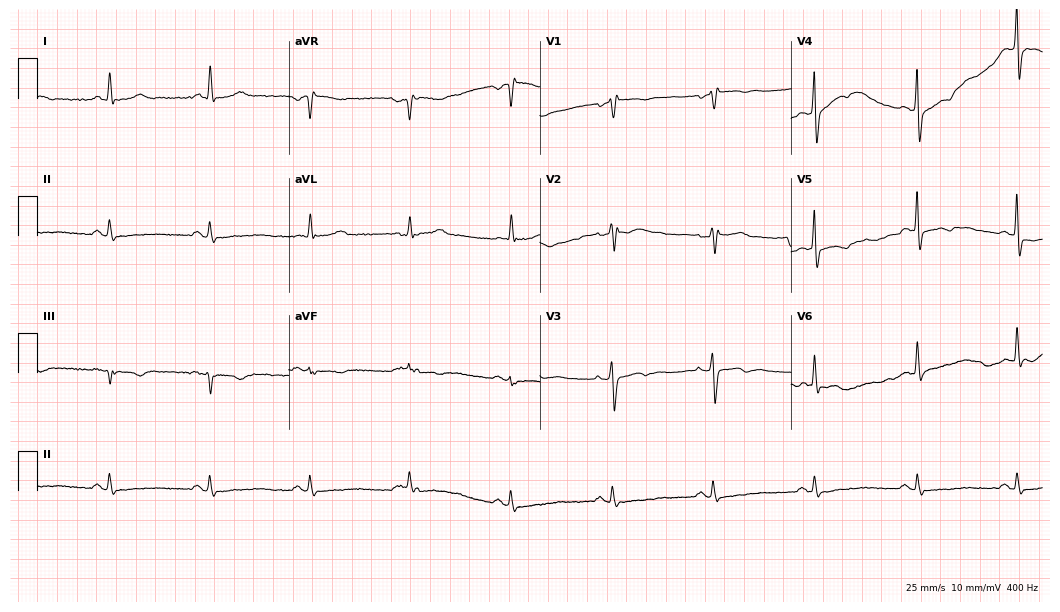
12-lead ECG from a 49-year-old man. No first-degree AV block, right bundle branch block, left bundle branch block, sinus bradycardia, atrial fibrillation or sinus tachycardia recorded for this tracing.